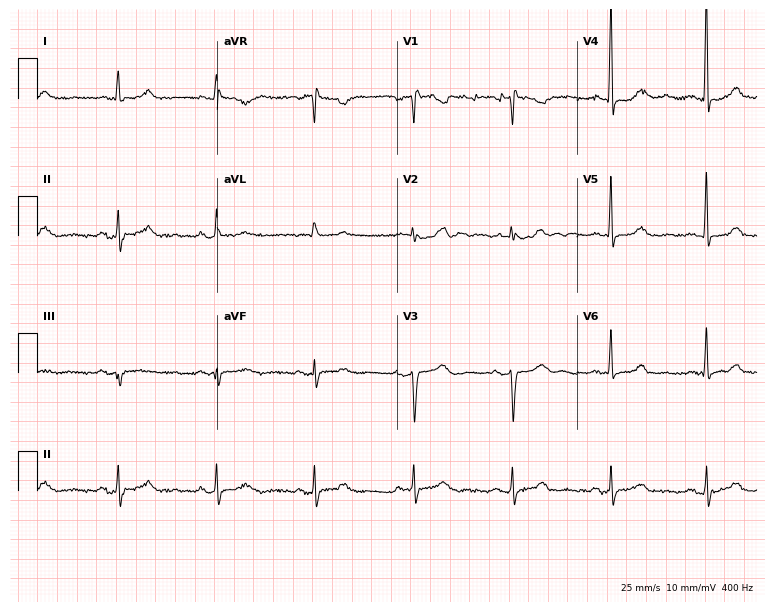
Standard 12-lead ECG recorded from a 64-year-old female patient (7.3-second recording at 400 Hz). None of these six findings is recorded: first-degree AV block, right bundle branch block (RBBB), left bundle branch block (LBBB), sinus bradycardia, atrial fibrillation (AF), sinus tachycardia.